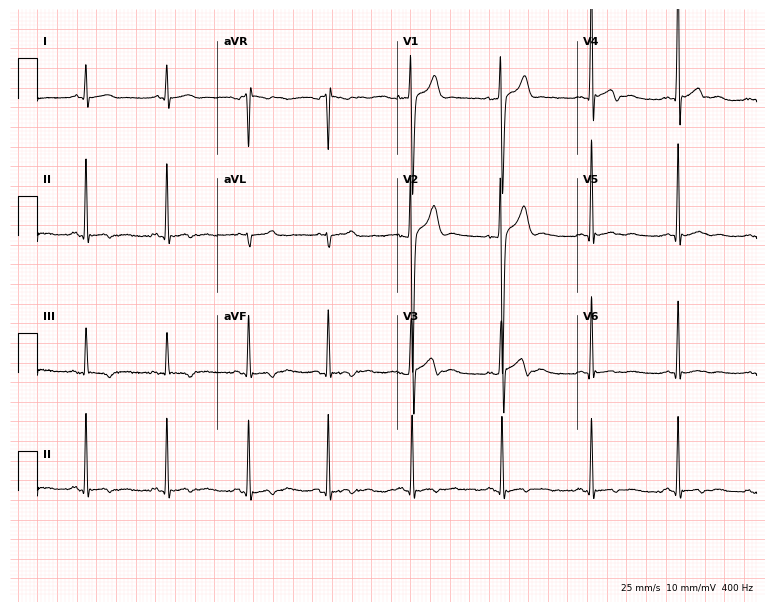
Standard 12-lead ECG recorded from a 17-year-old male patient. Read as a normal ECG.